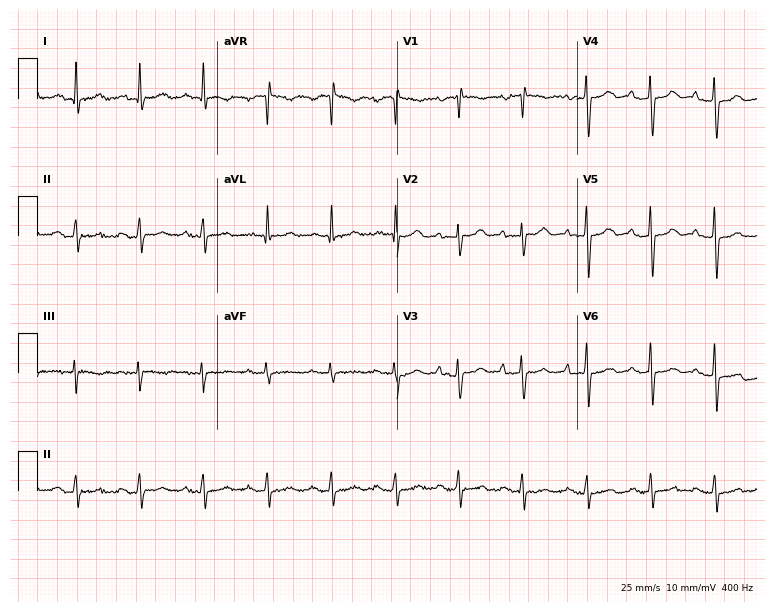
Resting 12-lead electrocardiogram (7.3-second recording at 400 Hz). Patient: a 78-year-old female. None of these six findings is recorded: first-degree AV block, right bundle branch block (RBBB), left bundle branch block (LBBB), sinus bradycardia, atrial fibrillation (AF), sinus tachycardia. Findings outside these six are not listed.